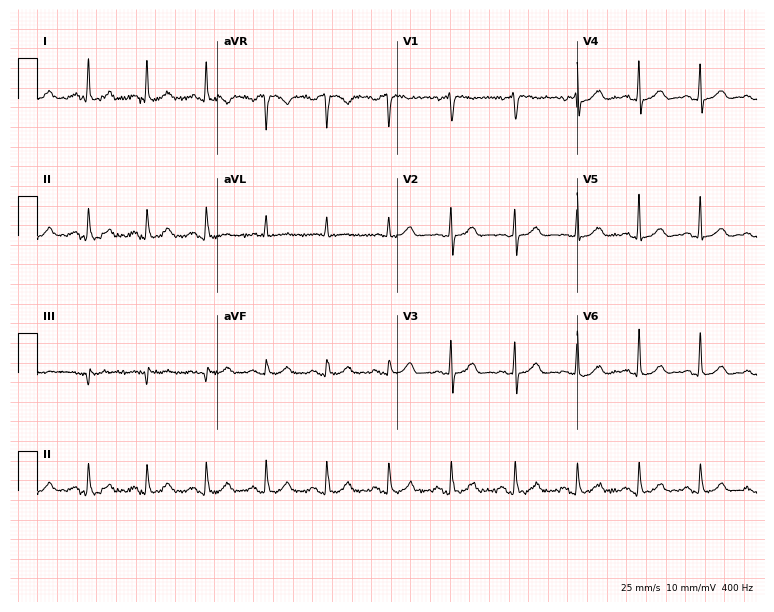
Resting 12-lead electrocardiogram. Patient: a female, 57 years old. None of these six findings is recorded: first-degree AV block, right bundle branch block, left bundle branch block, sinus bradycardia, atrial fibrillation, sinus tachycardia.